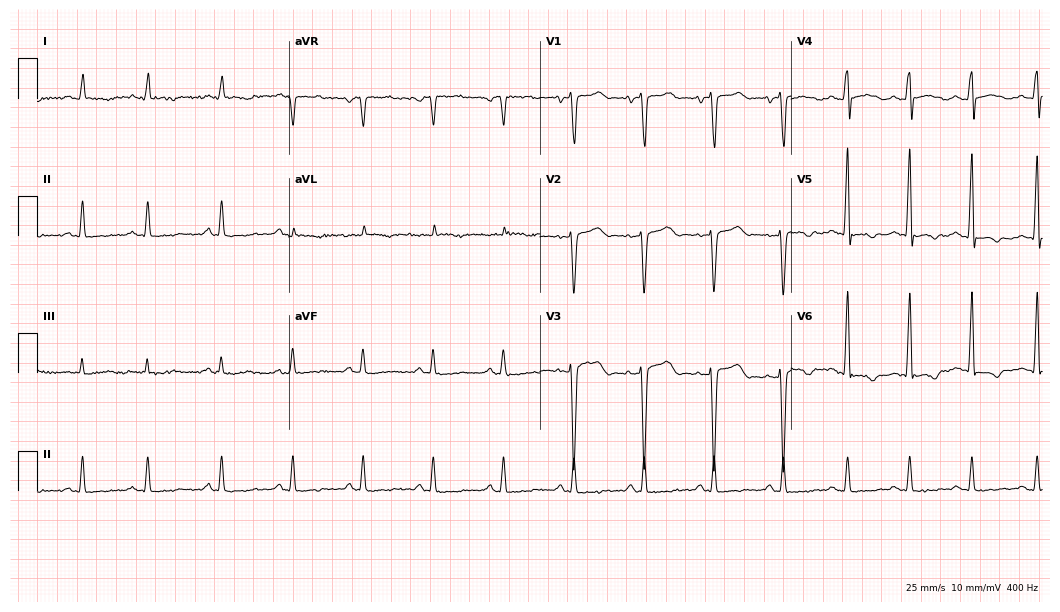
Standard 12-lead ECG recorded from a male, 70 years old (10.2-second recording at 400 Hz). None of these six findings is recorded: first-degree AV block, right bundle branch block (RBBB), left bundle branch block (LBBB), sinus bradycardia, atrial fibrillation (AF), sinus tachycardia. Other findings, if any, are not listed.